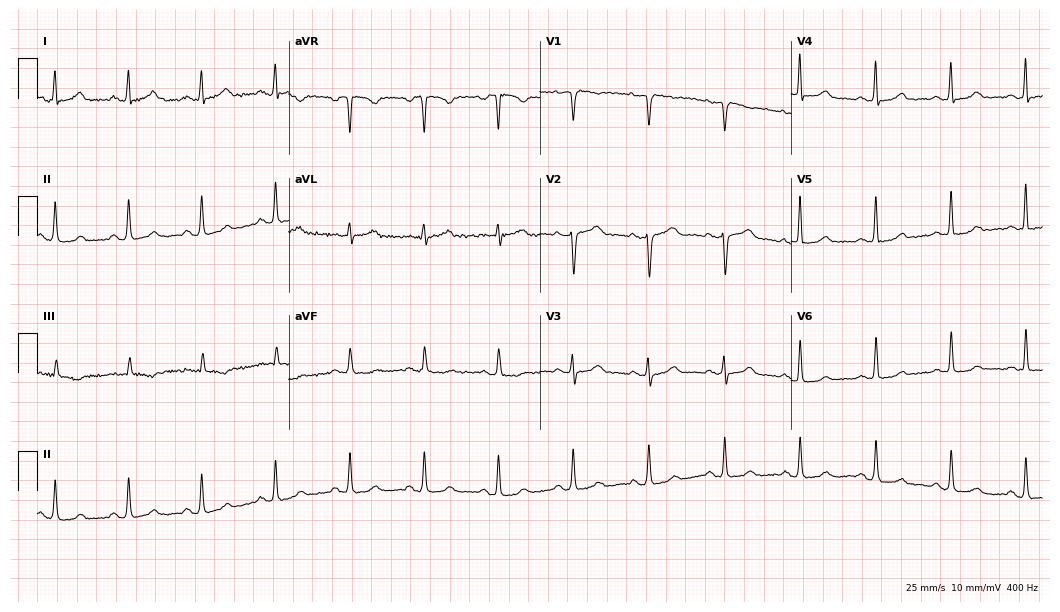
Resting 12-lead electrocardiogram. Patient: a 54-year-old woman. Read as a normal ECG.